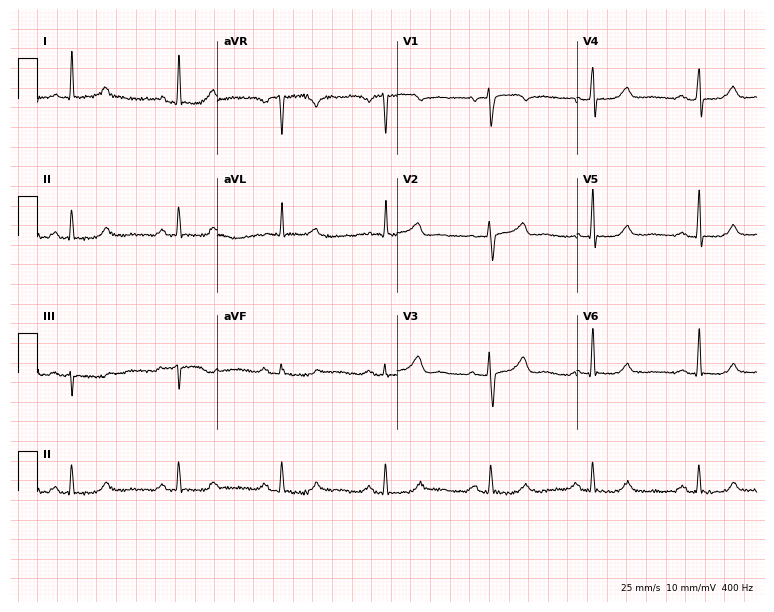
12-lead ECG from a female patient, 69 years old. Recorded interpretation: within normal limits.